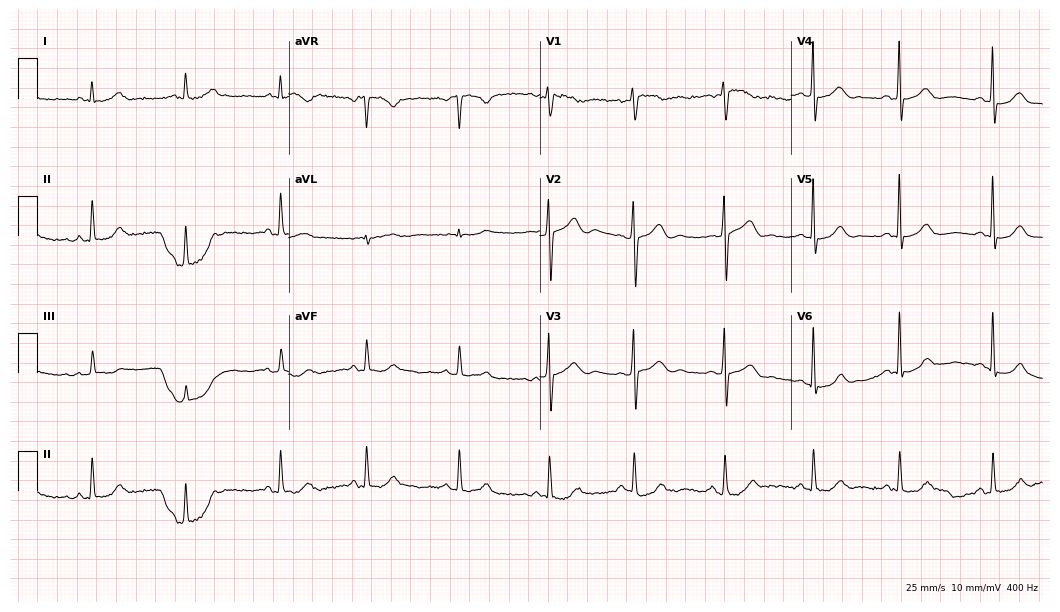
ECG — a 57-year-old female patient. Labelled as a normal ECG.